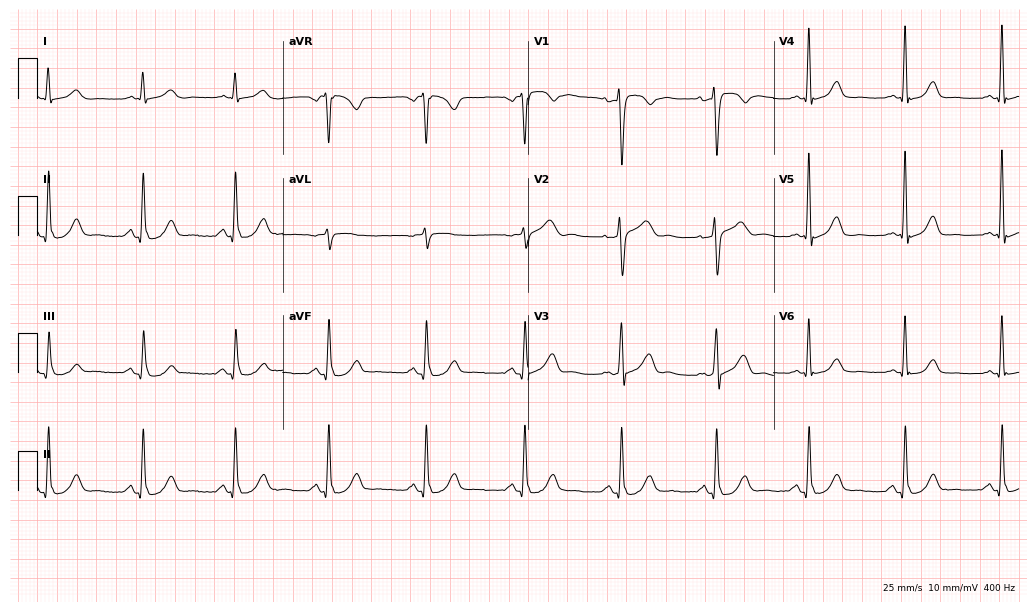
ECG (10-second recording at 400 Hz) — a female patient, 55 years old. Screened for six findings — first-degree AV block, right bundle branch block, left bundle branch block, sinus bradycardia, atrial fibrillation, sinus tachycardia — none is recorded.